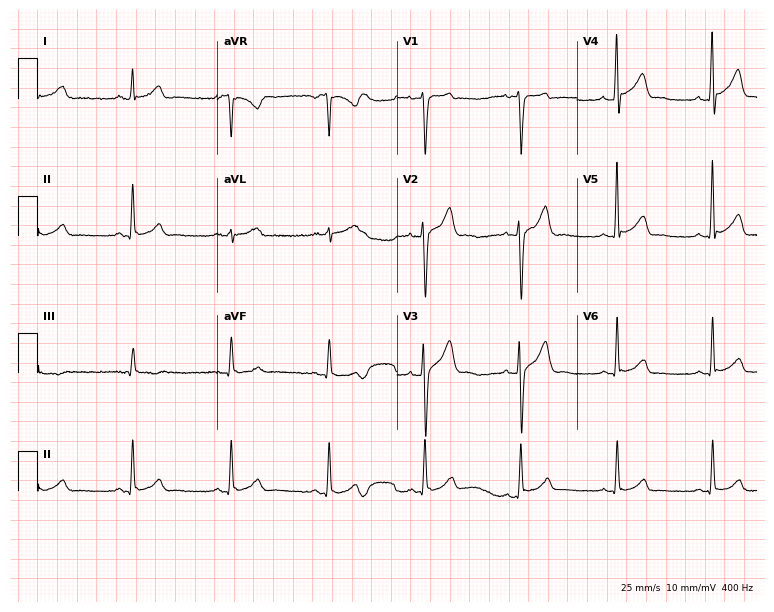
Electrocardiogram (7.3-second recording at 400 Hz), a 36-year-old man. Overall reading on record: normal ECG.